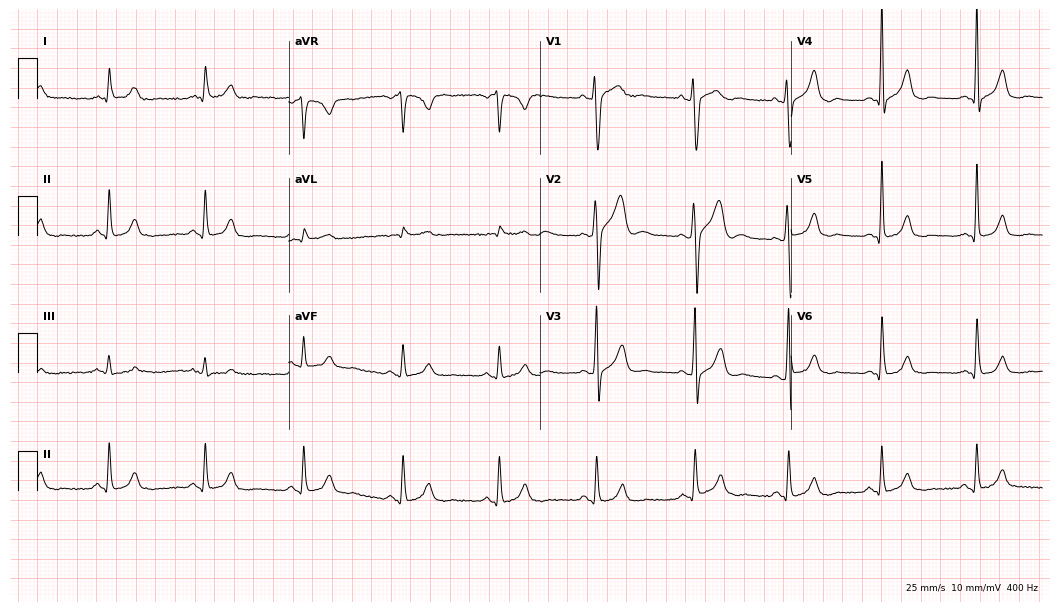
ECG (10.2-second recording at 400 Hz) — a male patient, 54 years old. Labelled as a normal ECG.